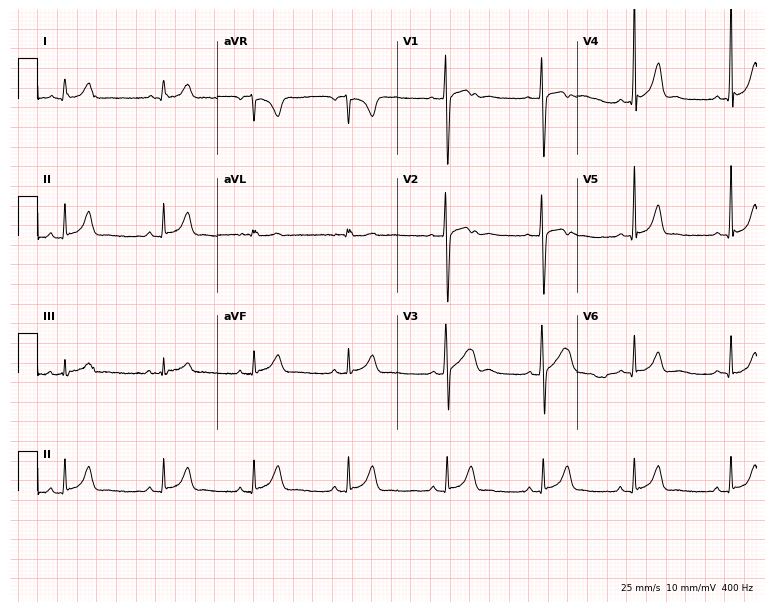
Resting 12-lead electrocardiogram (7.3-second recording at 400 Hz). Patient: a male, 17 years old. Read as a normal ECG.